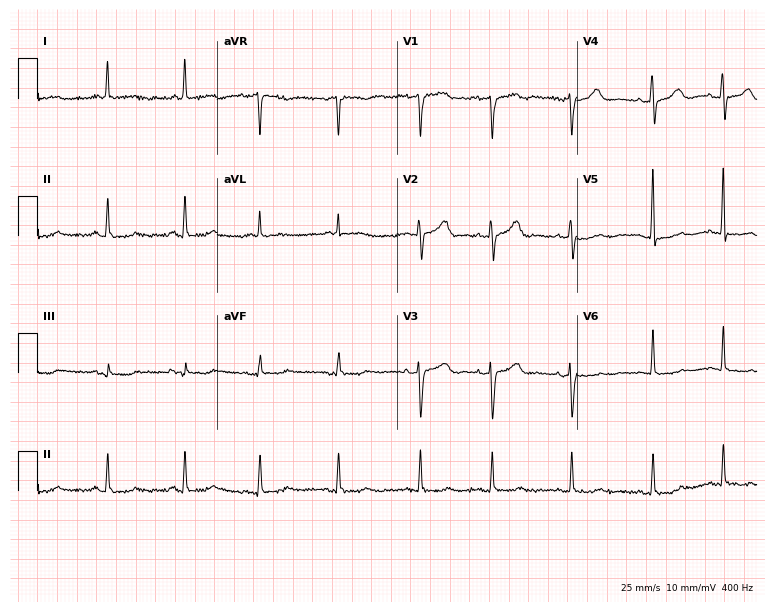
12-lead ECG from a female patient, 57 years old. No first-degree AV block, right bundle branch block (RBBB), left bundle branch block (LBBB), sinus bradycardia, atrial fibrillation (AF) or sinus tachycardia recorded for this tracing. Only these six findings were labelled.